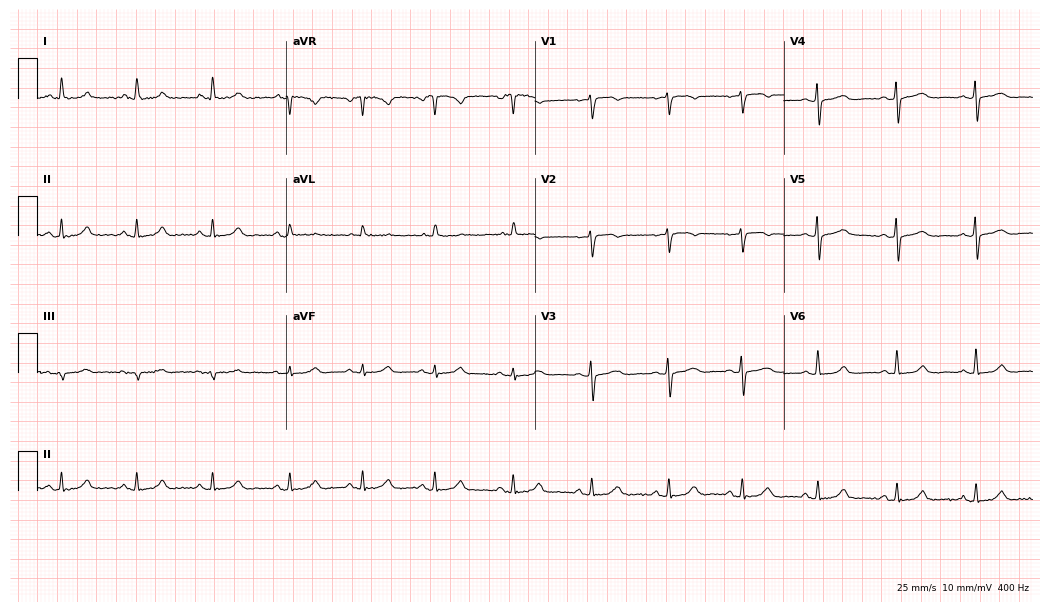
ECG (10.1-second recording at 400 Hz) — a female patient, 51 years old. Screened for six findings — first-degree AV block, right bundle branch block (RBBB), left bundle branch block (LBBB), sinus bradycardia, atrial fibrillation (AF), sinus tachycardia — none is recorded. Other findings, if any, are not listed.